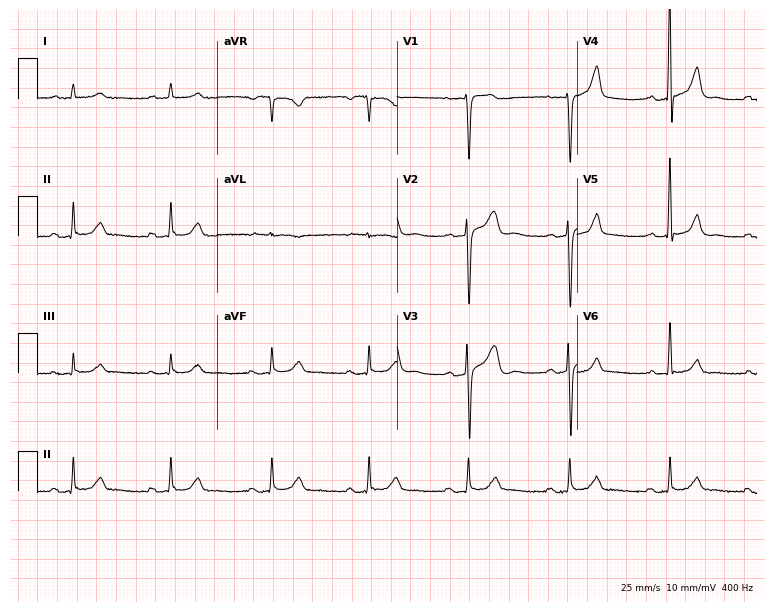
Standard 12-lead ECG recorded from a 72-year-old male. None of these six findings is recorded: first-degree AV block, right bundle branch block, left bundle branch block, sinus bradycardia, atrial fibrillation, sinus tachycardia. Findings outside these six are not listed.